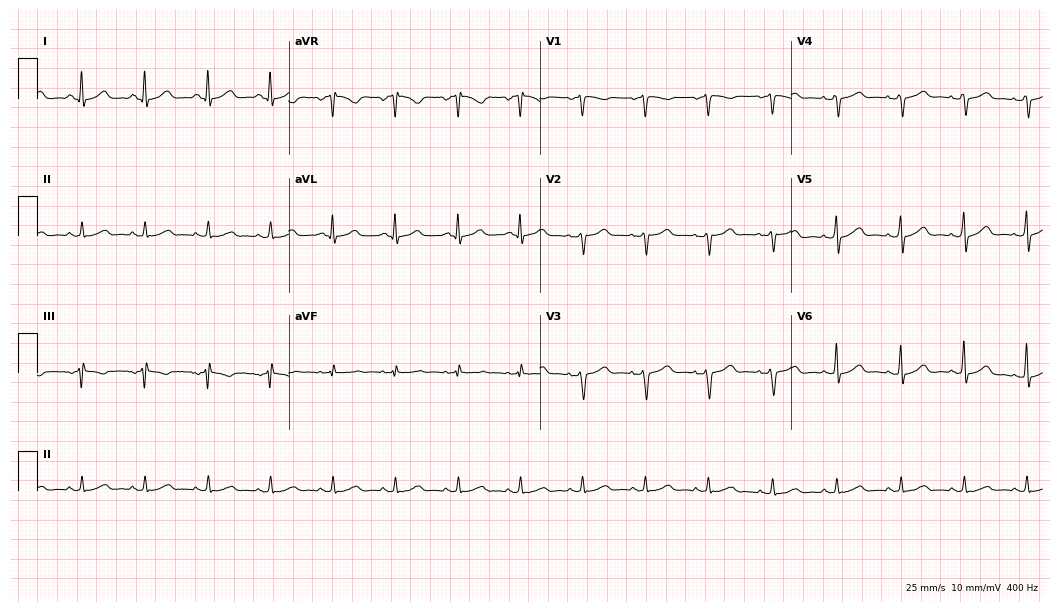
Standard 12-lead ECG recorded from a female patient, 38 years old. Read as a normal ECG.